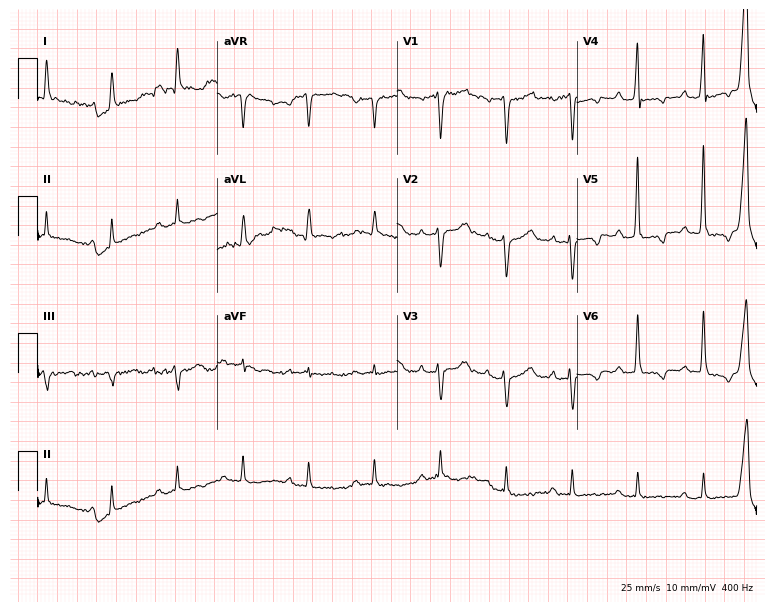
Electrocardiogram, a male patient, 76 years old. Of the six screened findings (first-degree AV block, right bundle branch block (RBBB), left bundle branch block (LBBB), sinus bradycardia, atrial fibrillation (AF), sinus tachycardia), none is recorded.